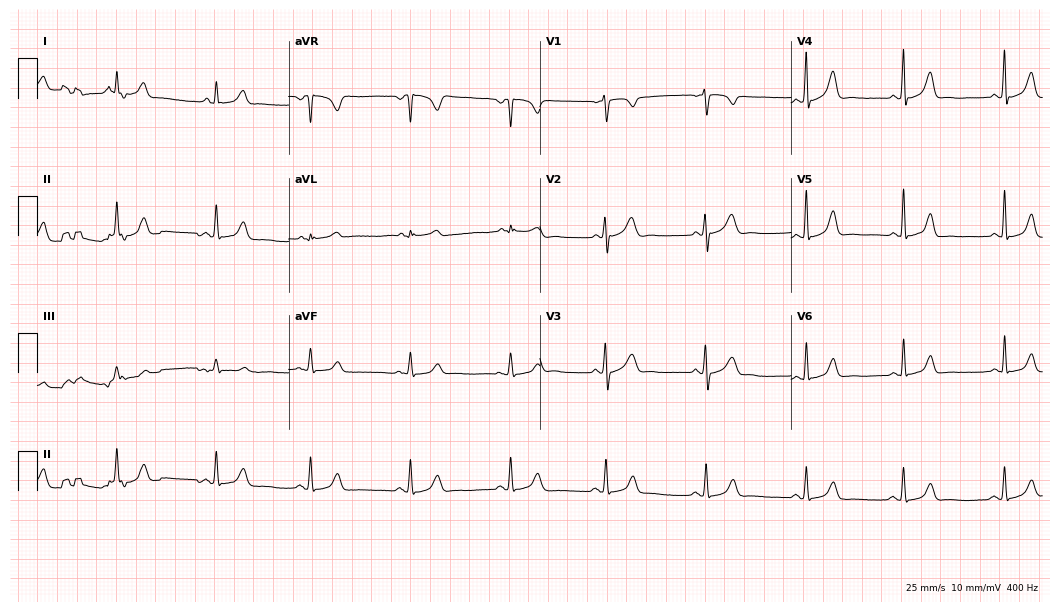
12-lead ECG from a female, 31 years old. Recorded interpretation: within normal limits.